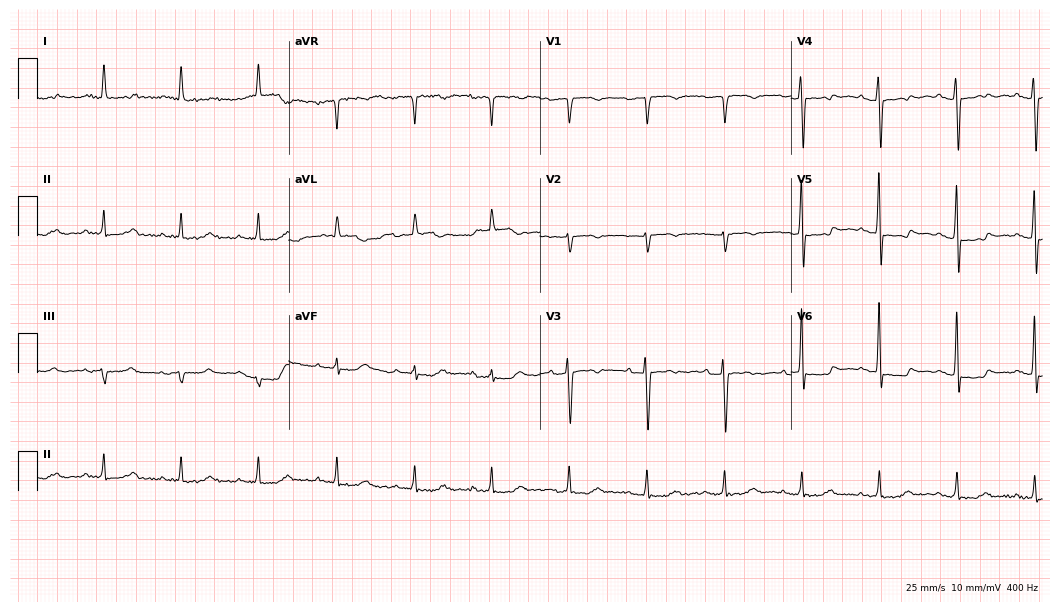
12-lead ECG from an 82-year-old woman. No first-degree AV block, right bundle branch block, left bundle branch block, sinus bradycardia, atrial fibrillation or sinus tachycardia recorded for this tracing.